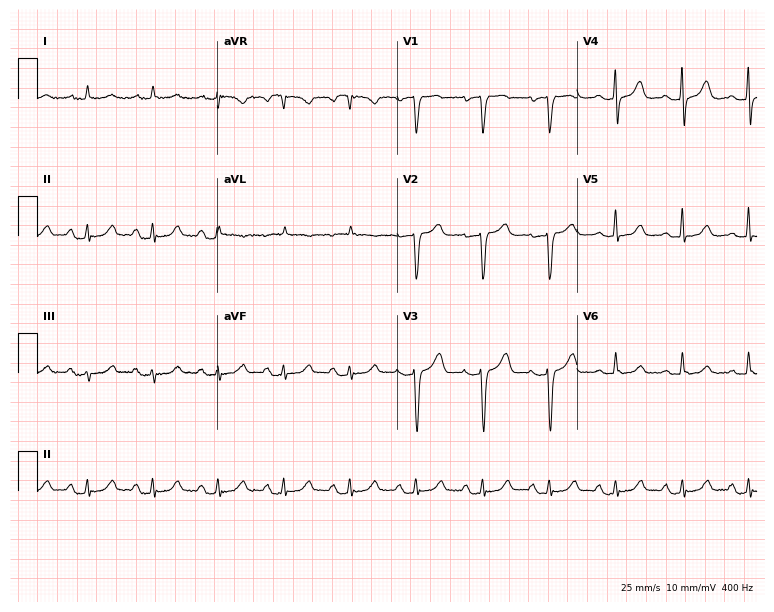
12-lead ECG (7.3-second recording at 400 Hz) from a 74-year-old female. Screened for six findings — first-degree AV block, right bundle branch block, left bundle branch block, sinus bradycardia, atrial fibrillation, sinus tachycardia — none is recorded. Other findings, if any, are not listed.